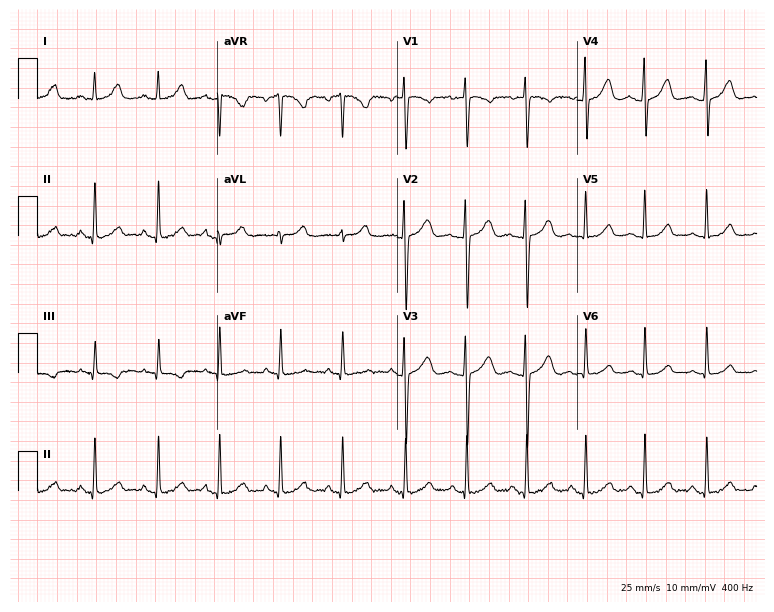
Resting 12-lead electrocardiogram (7.3-second recording at 400 Hz). Patient: a woman, 23 years old. Read as a normal ECG.